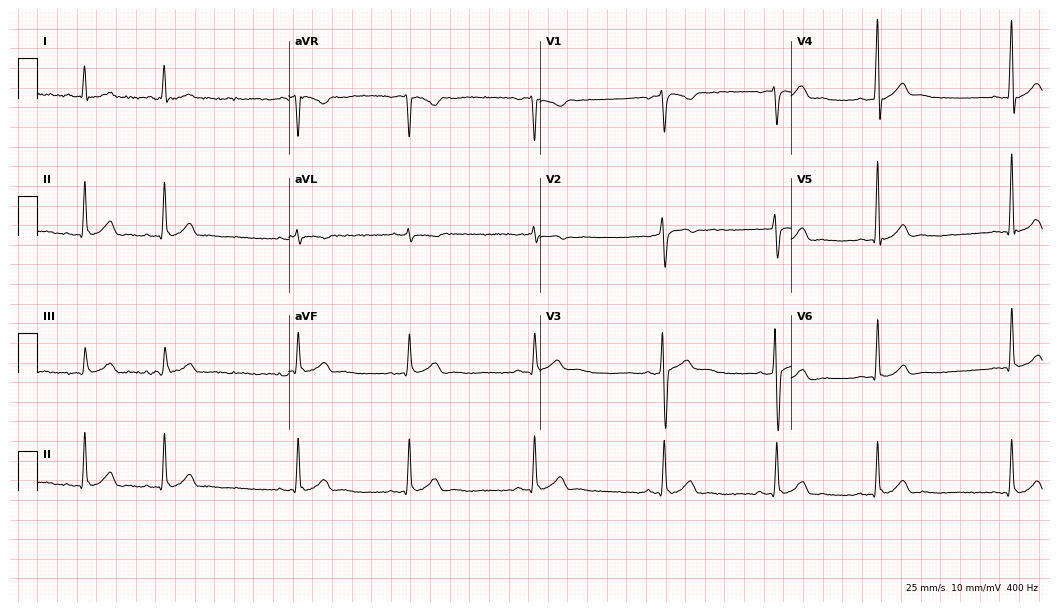
Resting 12-lead electrocardiogram (10.2-second recording at 400 Hz). Patient: a 21-year-old male. None of these six findings is recorded: first-degree AV block, right bundle branch block, left bundle branch block, sinus bradycardia, atrial fibrillation, sinus tachycardia. Findings outside these six are not listed.